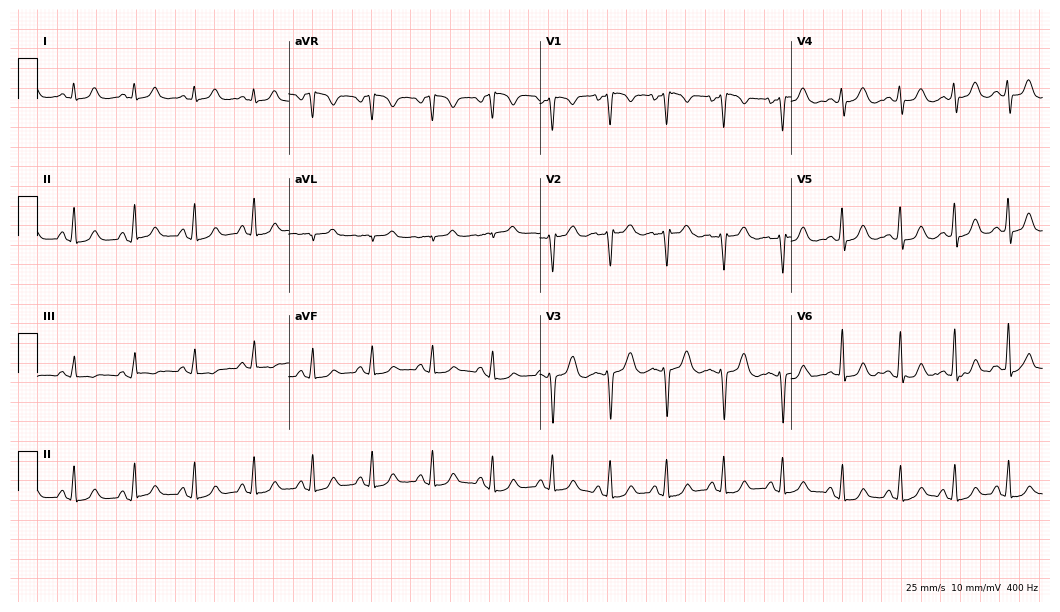
Electrocardiogram, a female, 41 years old. Of the six screened findings (first-degree AV block, right bundle branch block (RBBB), left bundle branch block (LBBB), sinus bradycardia, atrial fibrillation (AF), sinus tachycardia), none is recorded. Findings outside these six are not listed.